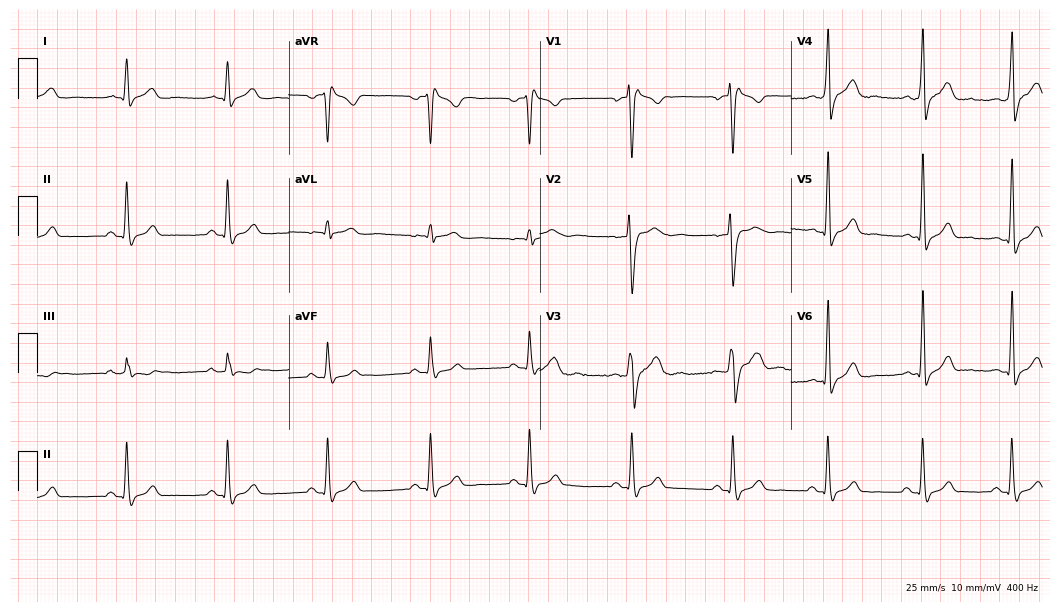
ECG — a man, 28 years old. Screened for six findings — first-degree AV block, right bundle branch block (RBBB), left bundle branch block (LBBB), sinus bradycardia, atrial fibrillation (AF), sinus tachycardia — none is recorded.